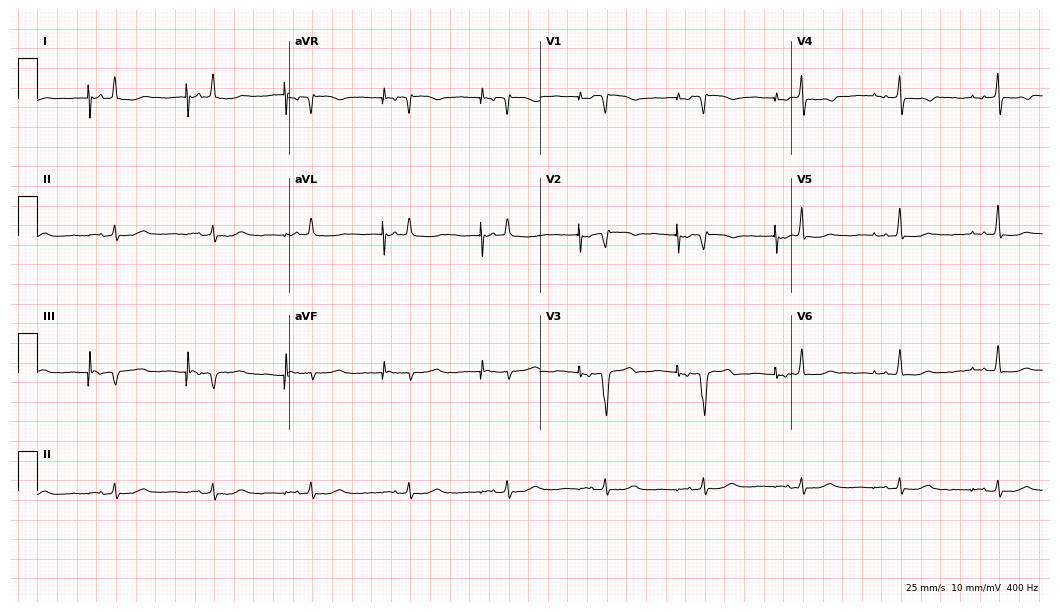
12-lead ECG (10.2-second recording at 400 Hz) from a male patient, 84 years old. Screened for six findings — first-degree AV block, right bundle branch block, left bundle branch block, sinus bradycardia, atrial fibrillation, sinus tachycardia — none is recorded. Other findings, if any, are not listed.